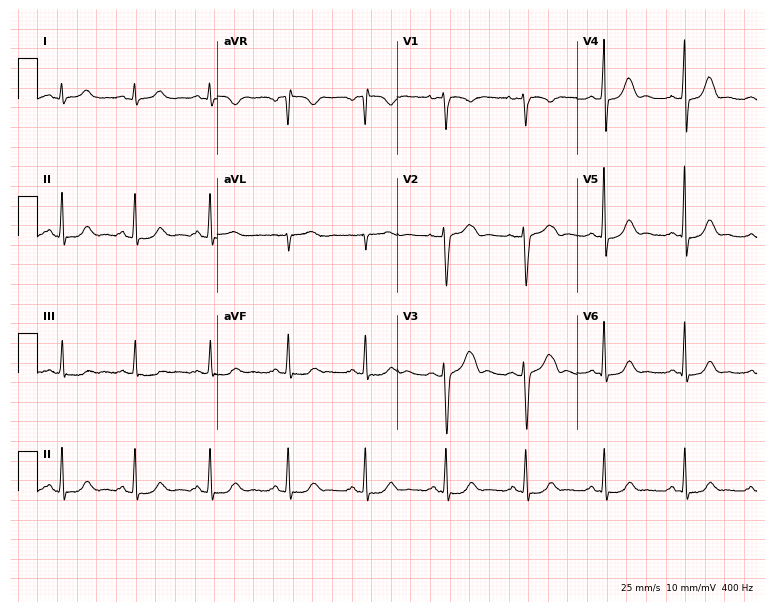
Electrocardiogram, a 37-year-old female. Of the six screened findings (first-degree AV block, right bundle branch block, left bundle branch block, sinus bradycardia, atrial fibrillation, sinus tachycardia), none is recorded. Findings outside these six are not listed.